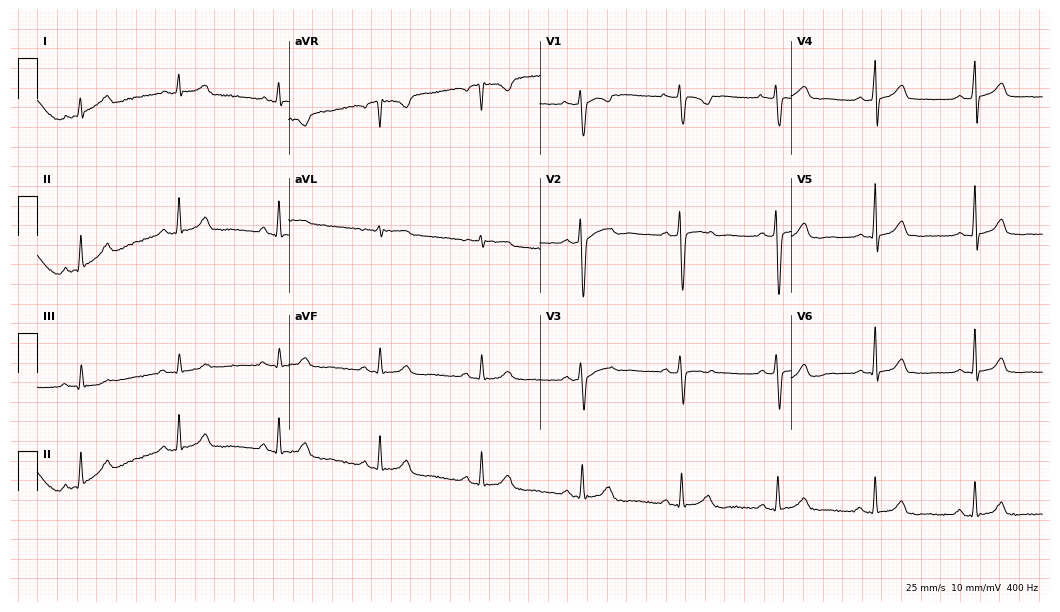
Resting 12-lead electrocardiogram. Patient: a 37-year-old female. None of these six findings is recorded: first-degree AV block, right bundle branch block, left bundle branch block, sinus bradycardia, atrial fibrillation, sinus tachycardia. Only these six findings were labelled.